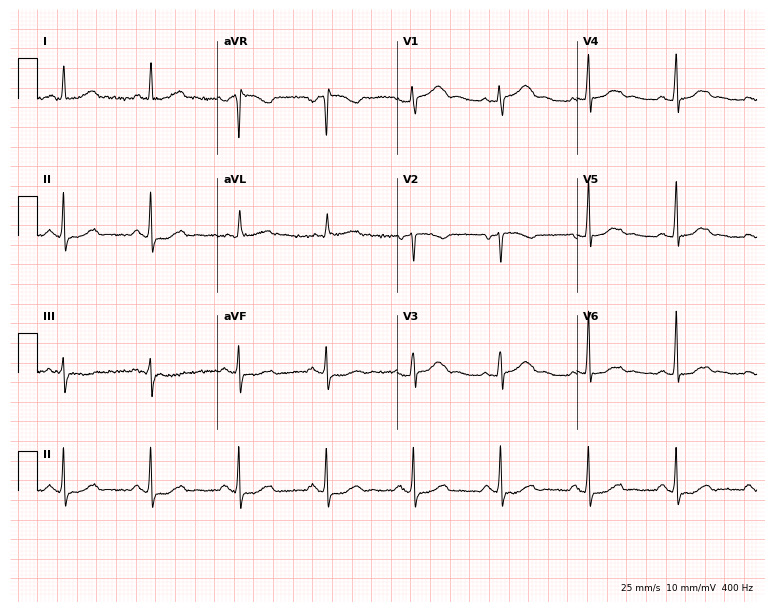
Resting 12-lead electrocardiogram. Patient: a 57-year-old male. None of these six findings is recorded: first-degree AV block, right bundle branch block, left bundle branch block, sinus bradycardia, atrial fibrillation, sinus tachycardia.